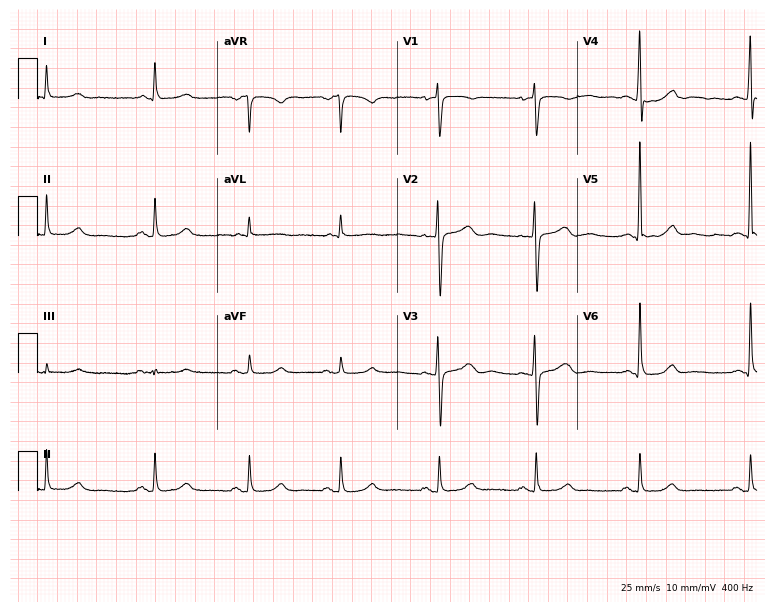
12-lead ECG from a female patient, 55 years old. No first-degree AV block, right bundle branch block, left bundle branch block, sinus bradycardia, atrial fibrillation or sinus tachycardia recorded for this tracing. Other findings, if any, are not listed.